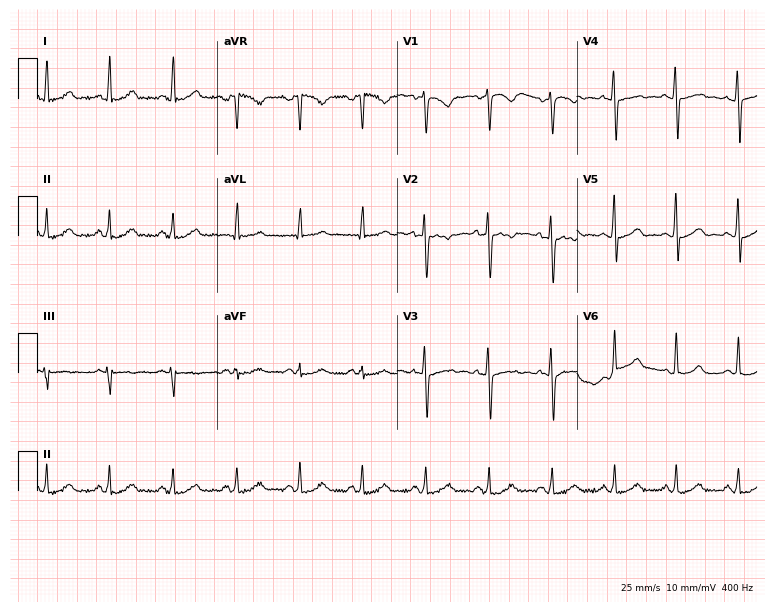
Standard 12-lead ECG recorded from a 45-year-old female patient (7.3-second recording at 400 Hz). None of these six findings is recorded: first-degree AV block, right bundle branch block, left bundle branch block, sinus bradycardia, atrial fibrillation, sinus tachycardia. Findings outside these six are not listed.